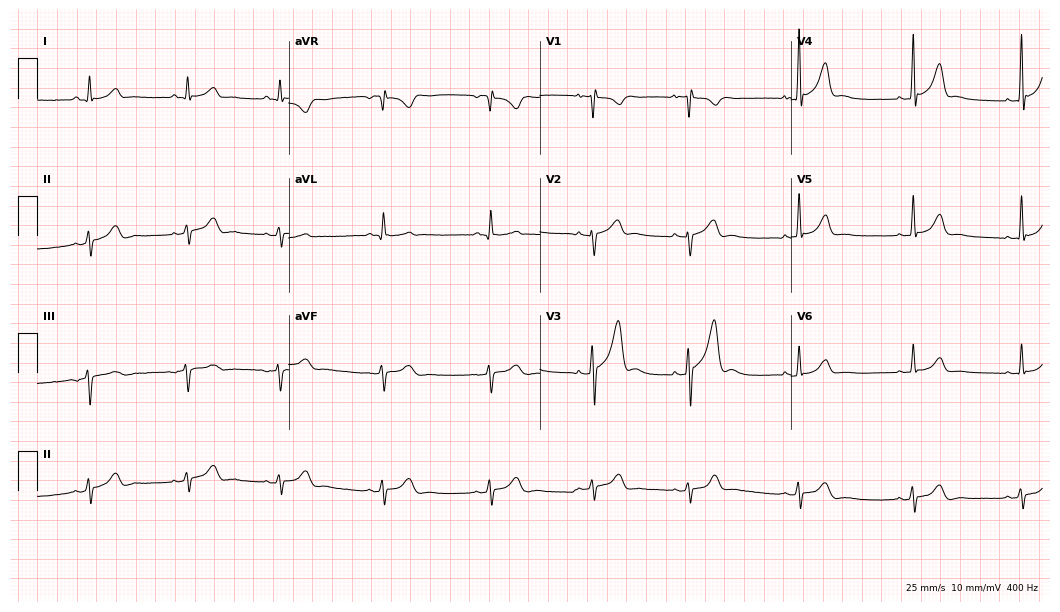
Resting 12-lead electrocardiogram. Patient: a male, 18 years old. None of these six findings is recorded: first-degree AV block, right bundle branch block, left bundle branch block, sinus bradycardia, atrial fibrillation, sinus tachycardia.